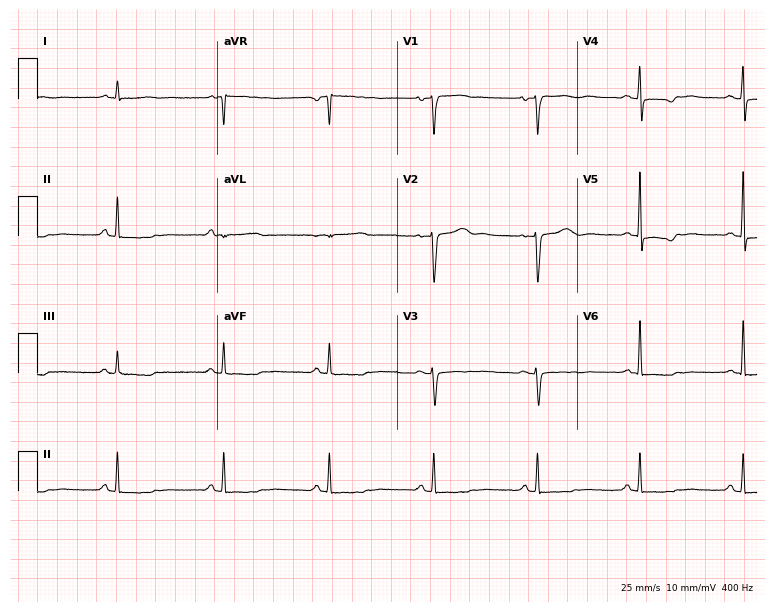
Electrocardiogram (7.3-second recording at 400 Hz), a female, 52 years old. Of the six screened findings (first-degree AV block, right bundle branch block, left bundle branch block, sinus bradycardia, atrial fibrillation, sinus tachycardia), none is recorded. Other findings, if any, are not listed.